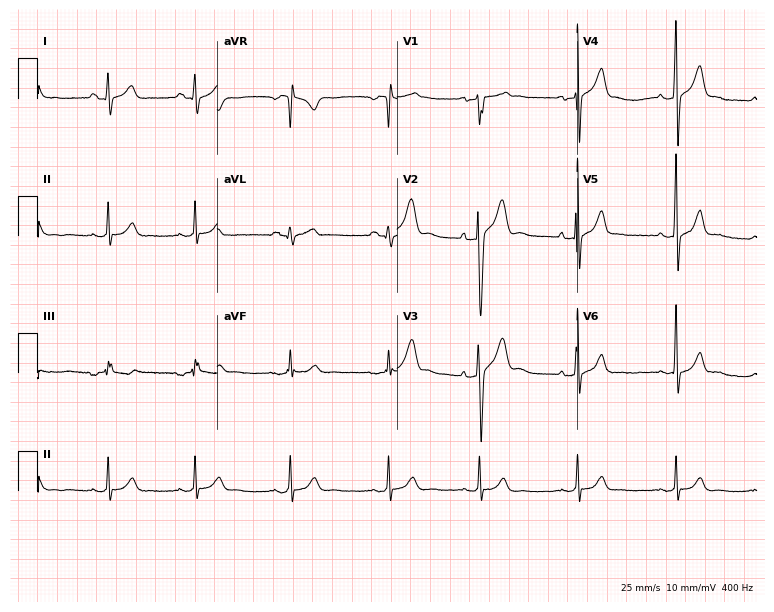
Resting 12-lead electrocardiogram (7.3-second recording at 400 Hz). Patient: a 19-year-old male. Read as a normal ECG.